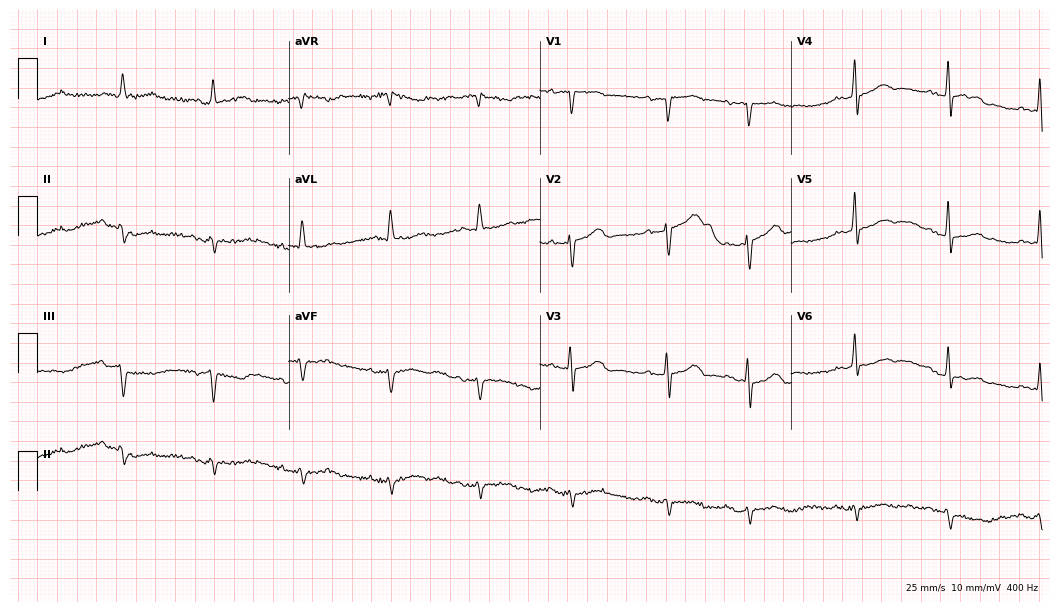
Resting 12-lead electrocardiogram. Patient: a 78-year-old male. None of these six findings is recorded: first-degree AV block, right bundle branch block (RBBB), left bundle branch block (LBBB), sinus bradycardia, atrial fibrillation (AF), sinus tachycardia. Only these six findings were labelled.